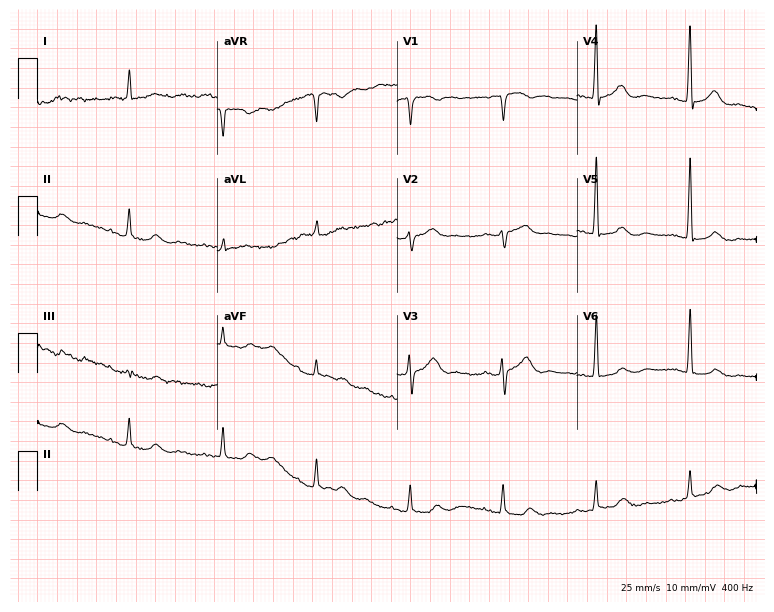
Standard 12-lead ECG recorded from a male, 82 years old. None of these six findings is recorded: first-degree AV block, right bundle branch block (RBBB), left bundle branch block (LBBB), sinus bradycardia, atrial fibrillation (AF), sinus tachycardia.